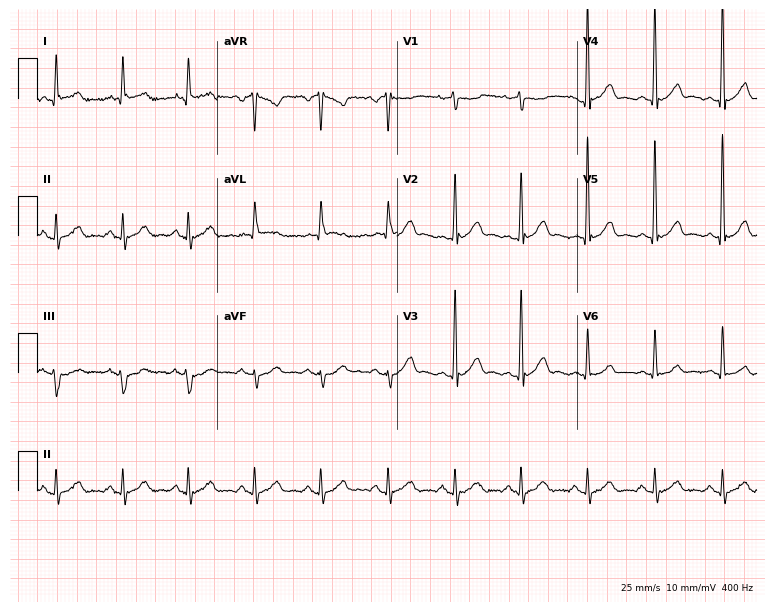
Electrocardiogram (7.3-second recording at 400 Hz), a male patient, 52 years old. Of the six screened findings (first-degree AV block, right bundle branch block, left bundle branch block, sinus bradycardia, atrial fibrillation, sinus tachycardia), none is recorded.